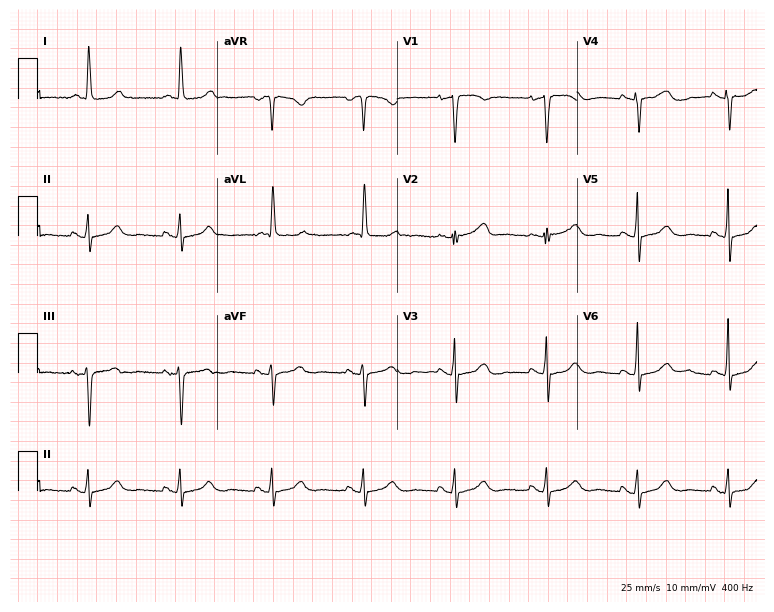
Standard 12-lead ECG recorded from a female, 85 years old. Read as a normal ECG.